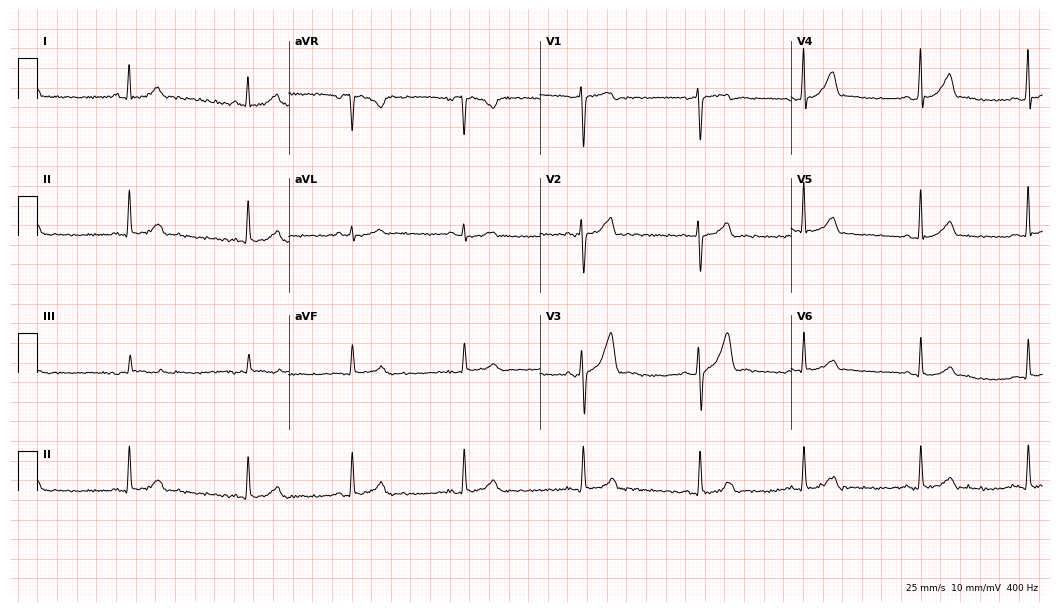
ECG — a male, 24 years old. Labelled as a normal ECG.